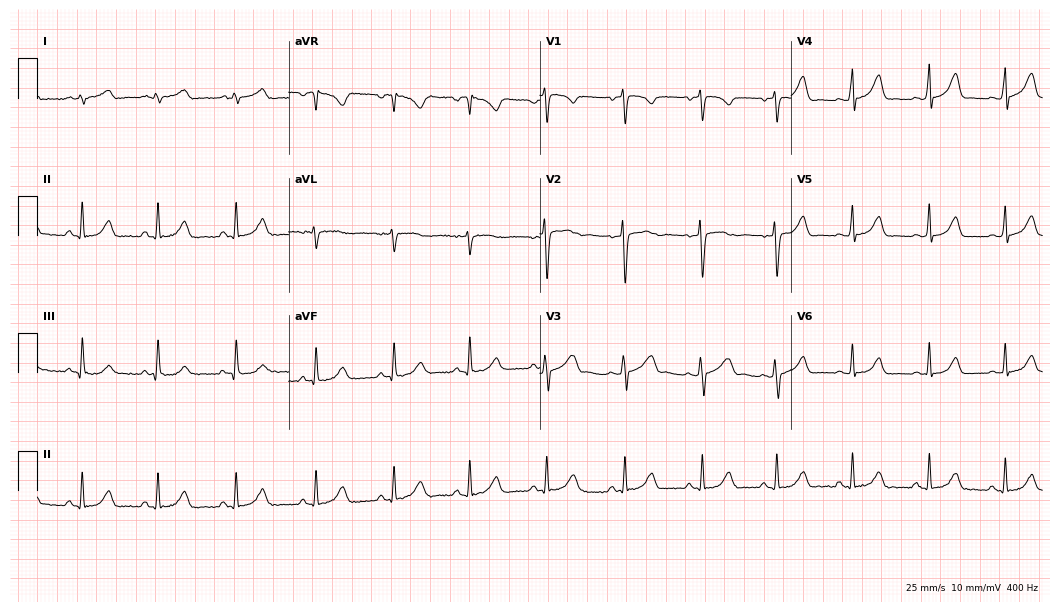
Electrocardiogram (10.2-second recording at 400 Hz), a male, 85 years old. Overall reading on record: normal ECG.